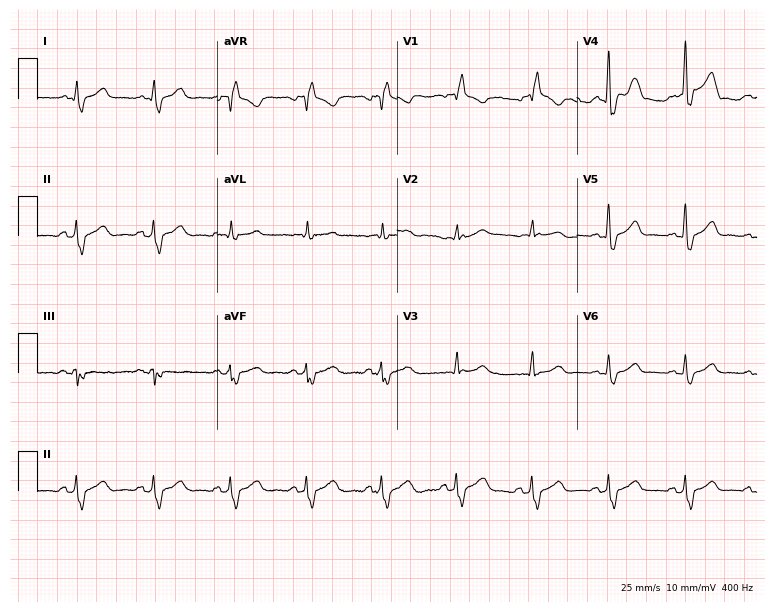
Standard 12-lead ECG recorded from a woman, 53 years old (7.3-second recording at 400 Hz). The tracing shows right bundle branch block (RBBB).